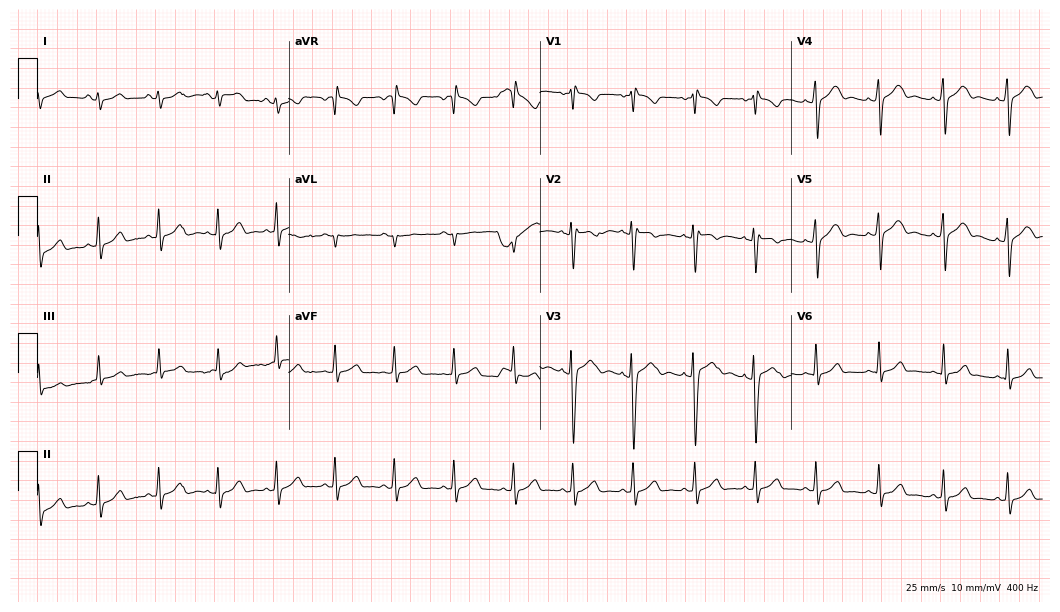
12-lead ECG from a female, 17 years old. Recorded interpretation: within normal limits.